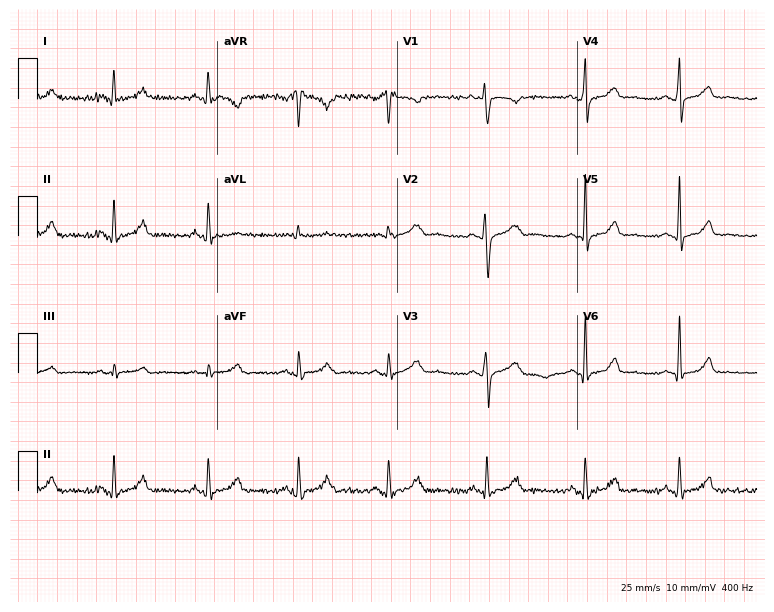
ECG (7.3-second recording at 400 Hz) — a 33-year-old female patient. Labelled as a normal ECG.